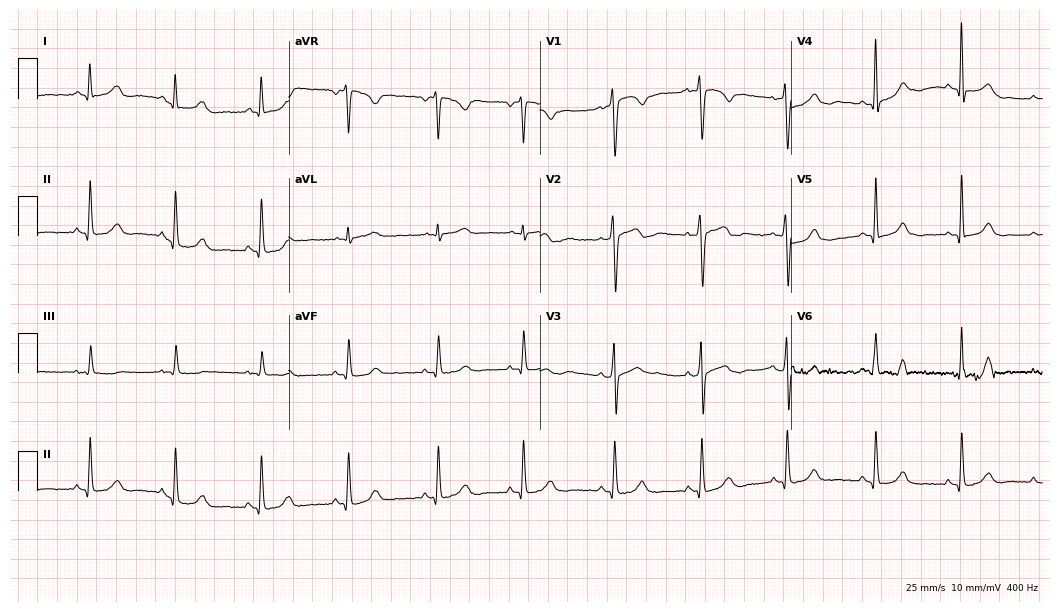
12-lead ECG (10.2-second recording at 400 Hz) from a female, 31 years old. Labelled as a normal ECG.